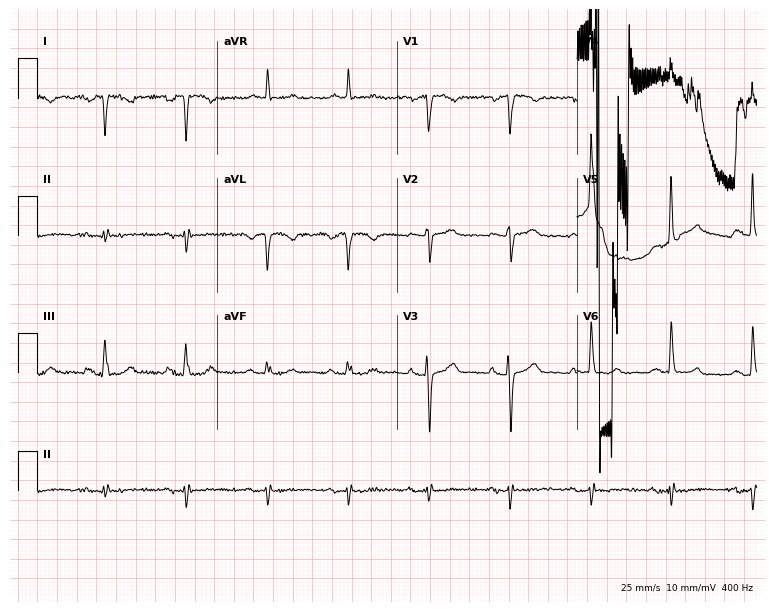
Electrocardiogram, a woman, 72 years old. Of the six screened findings (first-degree AV block, right bundle branch block (RBBB), left bundle branch block (LBBB), sinus bradycardia, atrial fibrillation (AF), sinus tachycardia), none is recorded. Only these six findings were labelled.